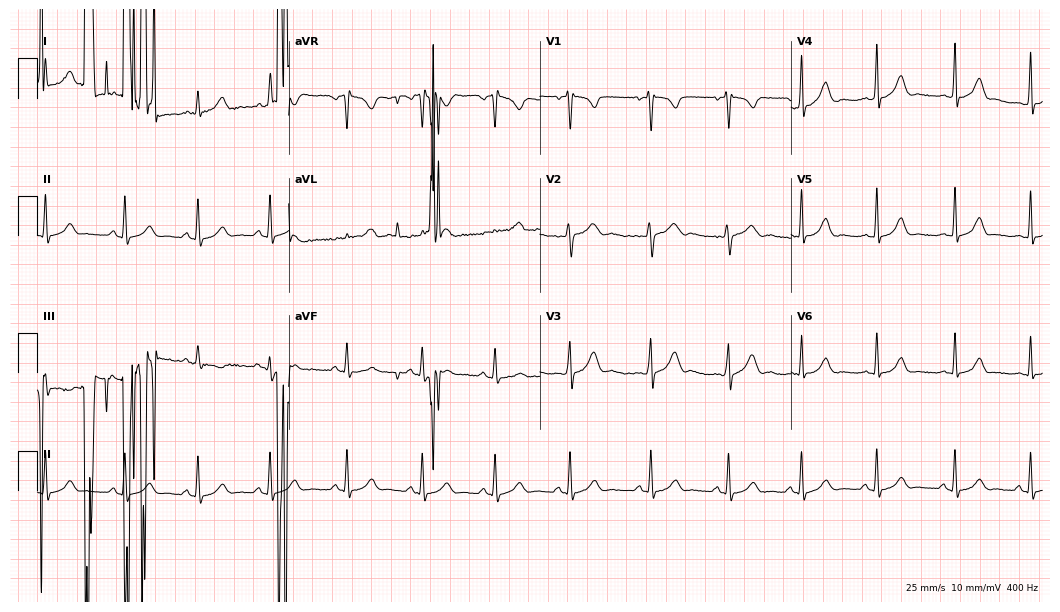
12-lead ECG (10.2-second recording at 400 Hz) from a female, 18 years old. Labelled as a normal ECG.